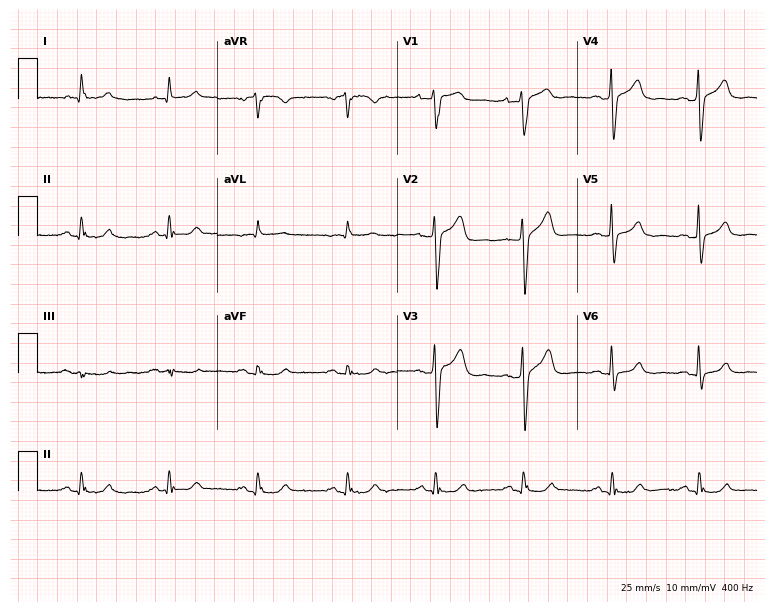
12-lead ECG (7.3-second recording at 400 Hz) from a 69-year-old male. Labelled as a normal ECG.